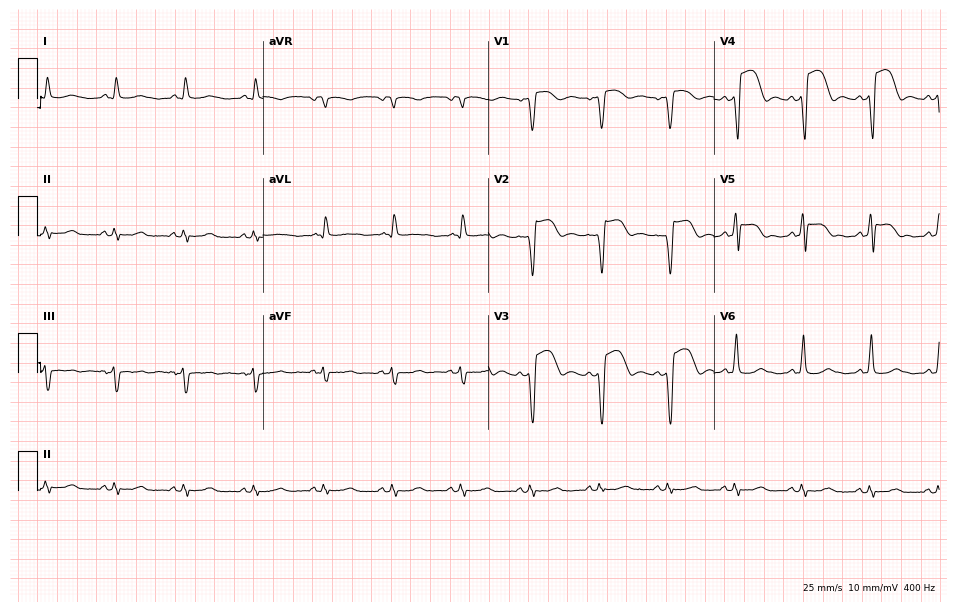
Electrocardiogram, a male patient, 52 years old. Of the six screened findings (first-degree AV block, right bundle branch block, left bundle branch block, sinus bradycardia, atrial fibrillation, sinus tachycardia), none is recorded. Other findings, if any, are not listed.